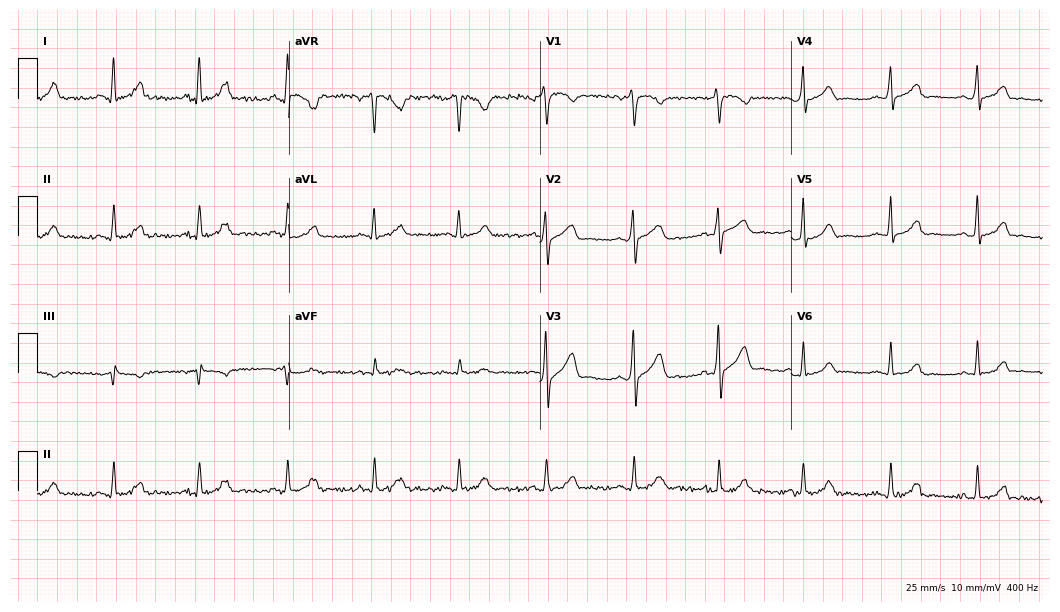
Electrocardiogram, a male patient, 31 years old. Overall reading on record: normal ECG.